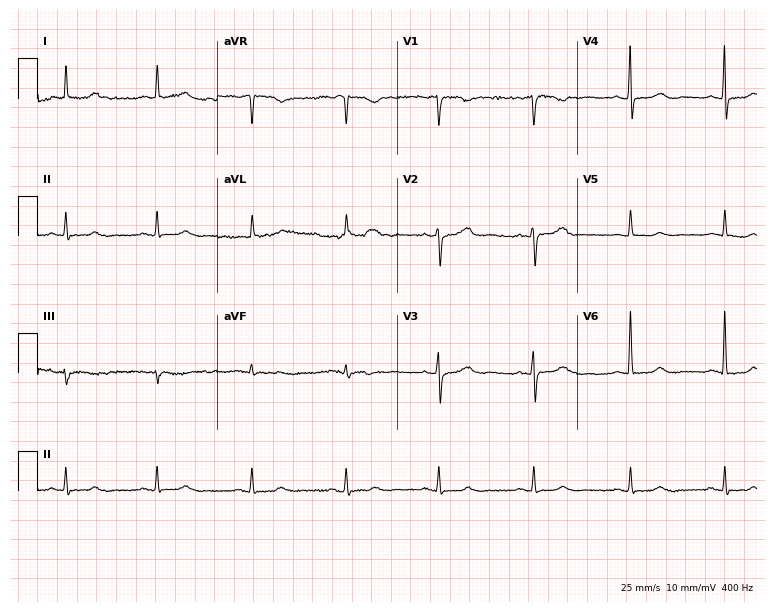
Electrocardiogram, a 76-year-old female. Of the six screened findings (first-degree AV block, right bundle branch block, left bundle branch block, sinus bradycardia, atrial fibrillation, sinus tachycardia), none is recorded.